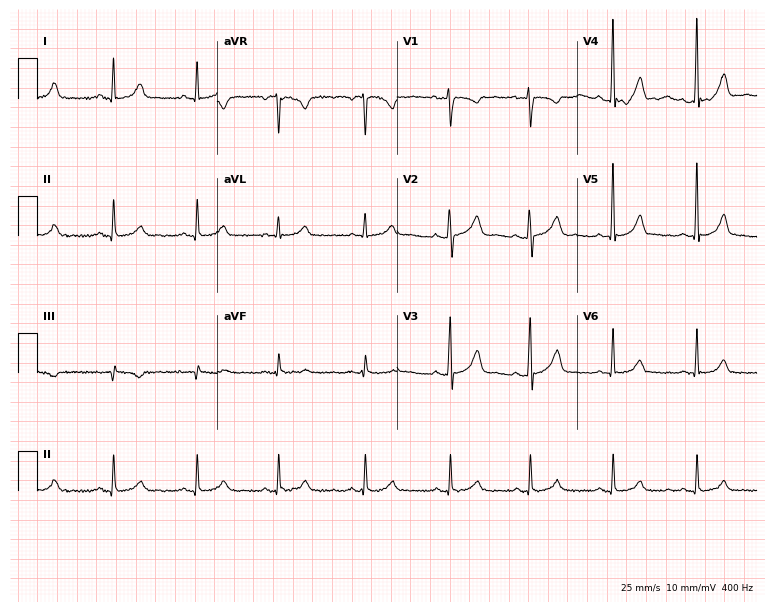
Resting 12-lead electrocardiogram (7.3-second recording at 400 Hz). Patient: a female, 27 years old. None of these six findings is recorded: first-degree AV block, right bundle branch block, left bundle branch block, sinus bradycardia, atrial fibrillation, sinus tachycardia. Findings outside these six are not listed.